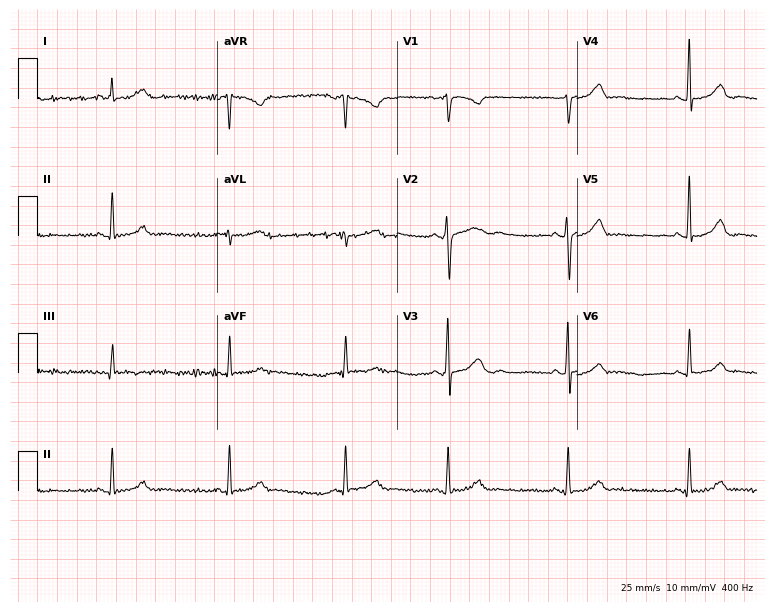
ECG — a 41-year-old female patient. Screened for six findings — first-degree AV block, right bundle branch block, left bundle branch block, sinus bradycardia, atrial fibrillation, sinus tachycardia — none is recorded.